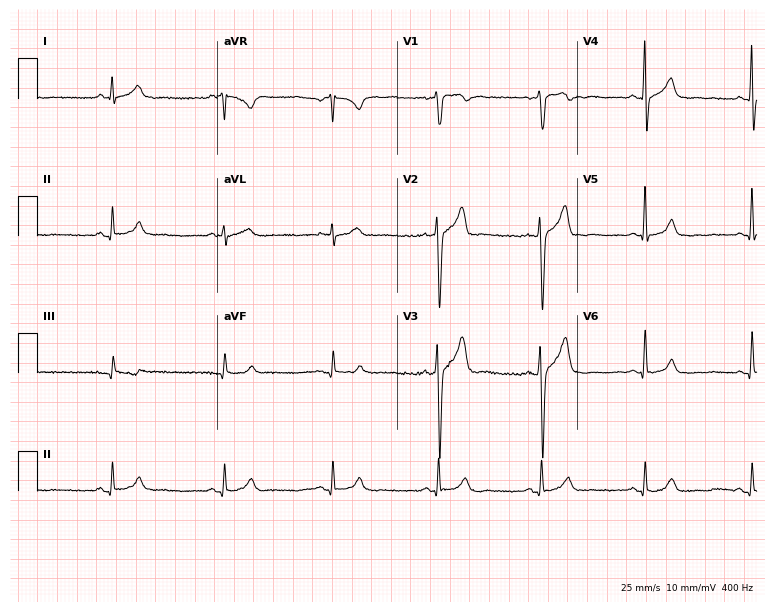
12-lead ECG from a 46-year-old male patient (7.3-second recording at 400 Hz). Recorded interpretation: within normal limits.